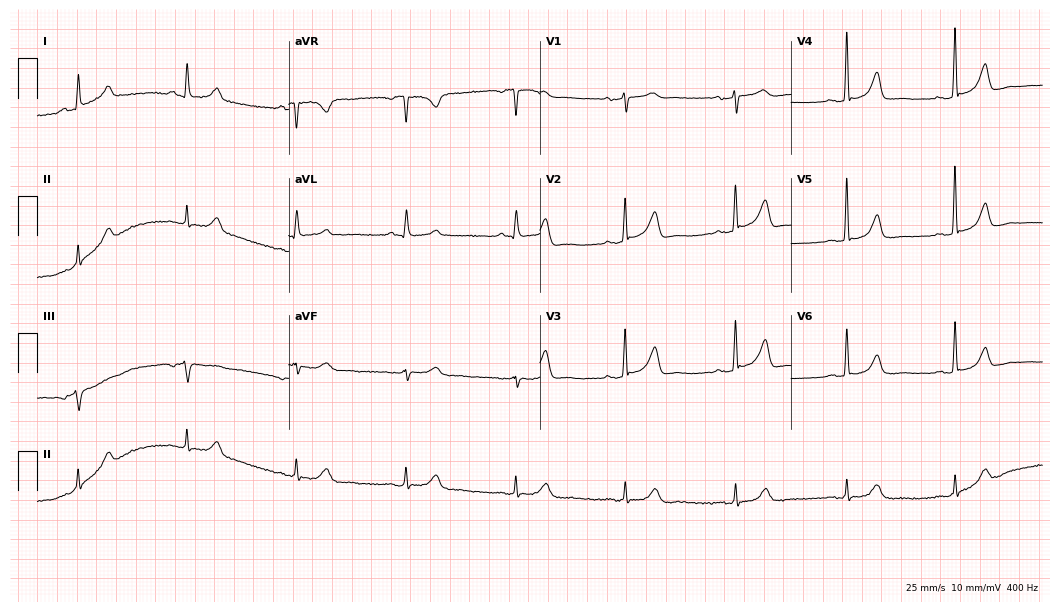
12-lead ECG from a woman, 64 years old (10.2-second recording at 400 Hz). Recorded interpretation: within normal limits.